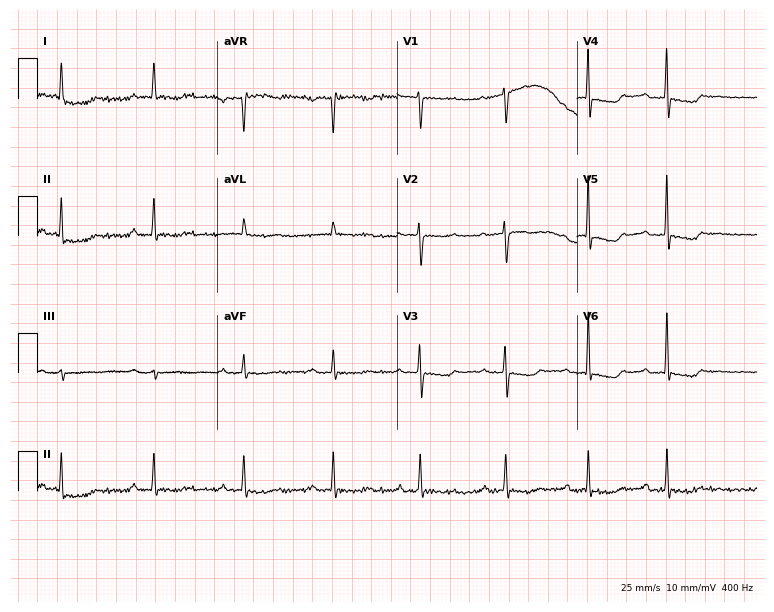
12-lead ECG from a 78-year-old female. No first-degree AV block, right bundle branch block, left bundle branch block, sinus bradycardia, atrial fibrillation or sinus tachycardia recorded for this tracing.